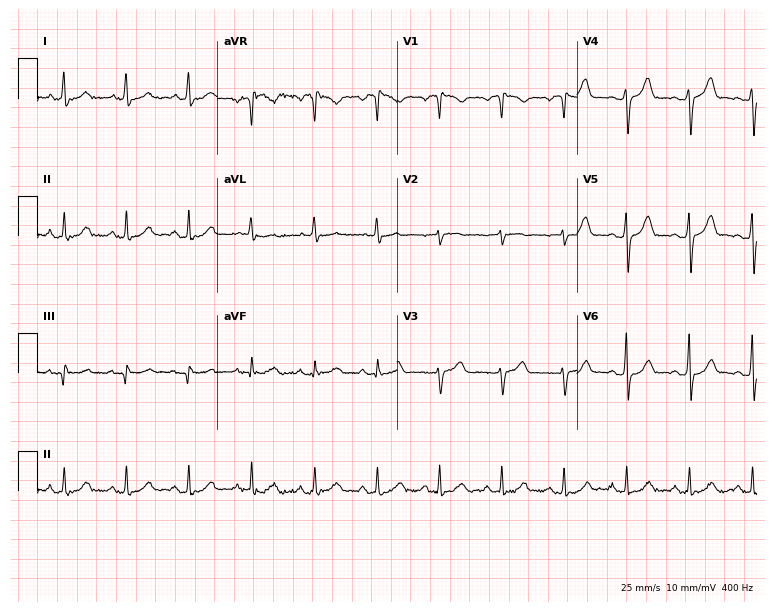
12-lead ECG from a 57-year-old female (7.3-second recording at 400 Hz). No first-degree AV block, right bundle branch block, left bundle branch block, sinus bradycardia, atrial fibrillation or sinus tachycardia recorded for this tracing.